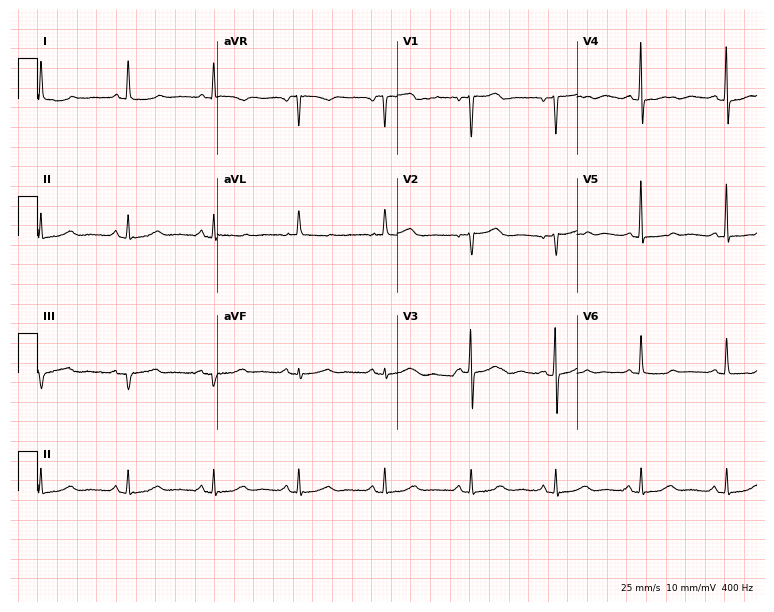
ECG (7.3-second recording at 400 Hz) — a 64-year-old woman. Screened for six findings — first-degree AV block, right bundle branch block (RBBB), left bundle branch block (LBBB), sinus bradycardia, atrial fibrillation (AF), sinus tachycardia — none is recorded.